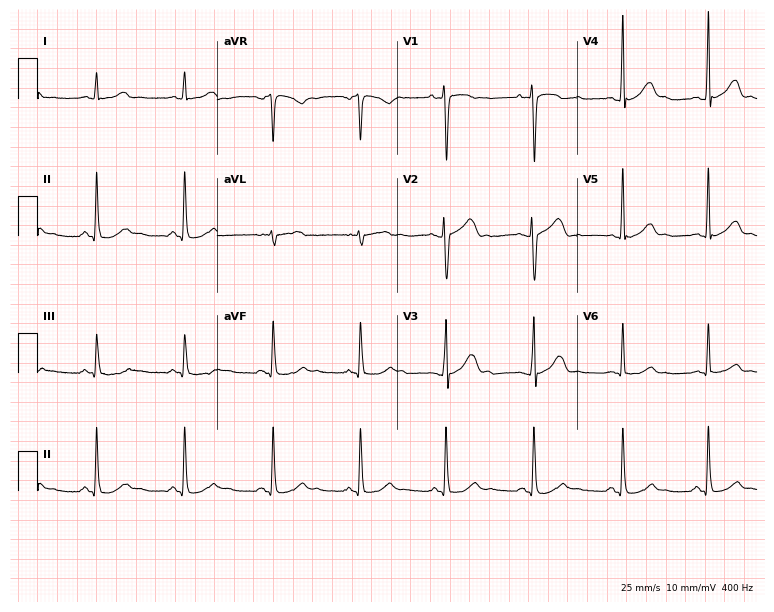
ECG (7.3-second recording at 400 Hz) — a male patient, 32 years old. Labelled as a normal ECG.